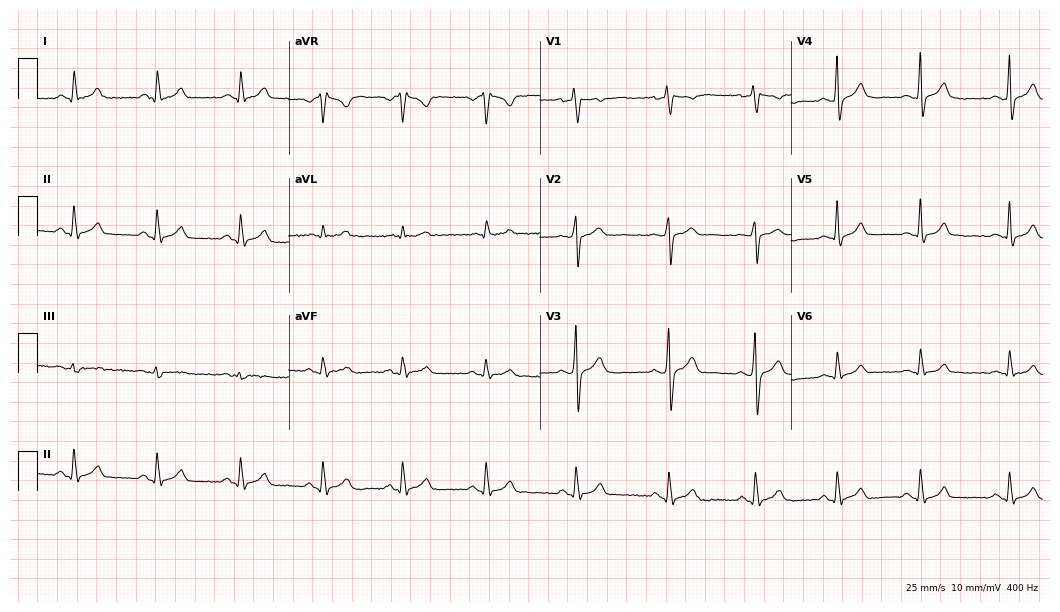
Resting 12-lead electrocardiogram. Patient: a 35-year-old male. Read as a normal ECG.